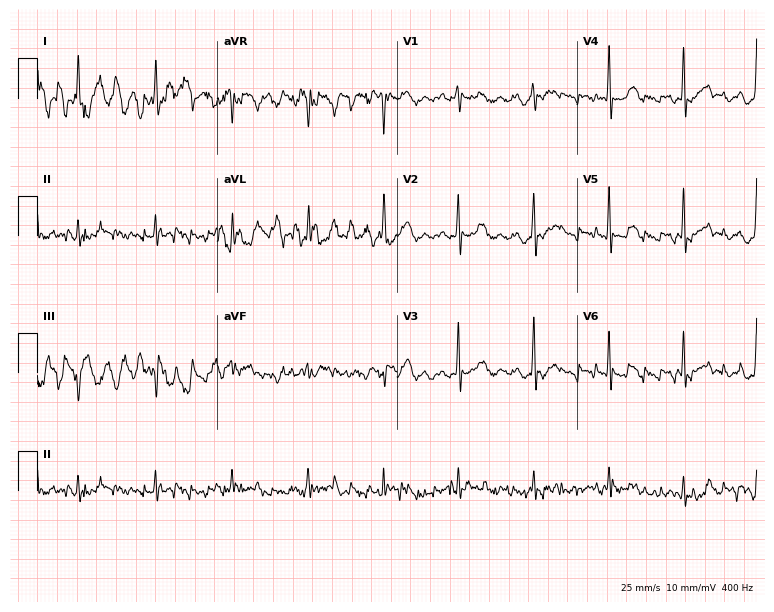
Resting 12-lead electrocardiogram. Patient: a 75-year-old female. None of these six findings is recorded: first-degree AV block, right bundle branch block, left bundle branch block, sinus bradycardia, atrial fibrillation, sinus tachycardia. Other findings, if any, are not listed.